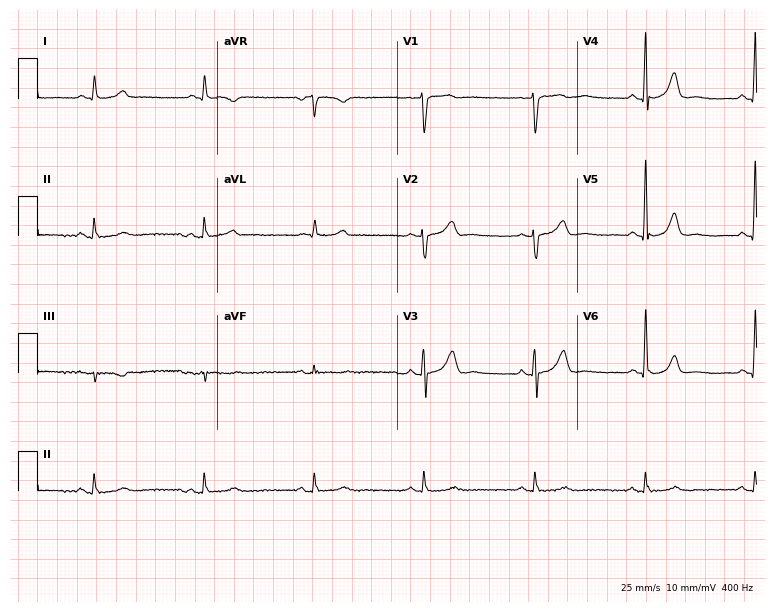
12-lead ECG (7.3-second recording at 400 Hz) from a man, 76 years old. Screened for six findings — first-degree AV block, right bundle branch block (RBBB), left bundle branch block (LBBB), sinus bradycardia, atrial fibrillation (AF), sinus tachycardia — none is recorded.